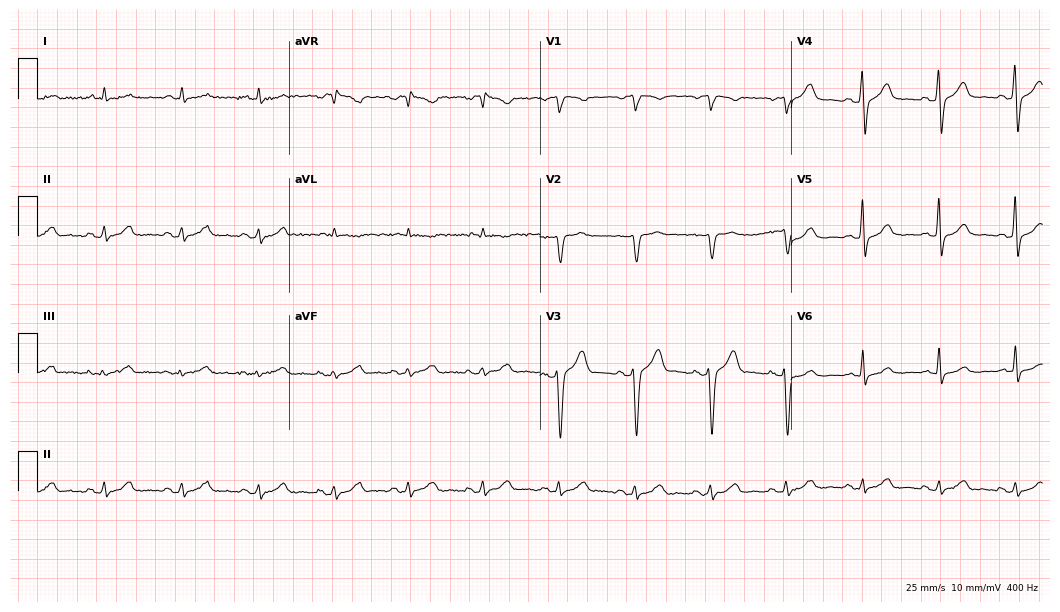
Standard 12-lead ECG recorded from a 58-year-old male patient. None of these six findings is recorded: first-degree AV block, right bundle branch block, left bundle branch block, sinus bradycardia, atrial fibrillation, sinus tachycardia. Other findings, if any, are not listed.